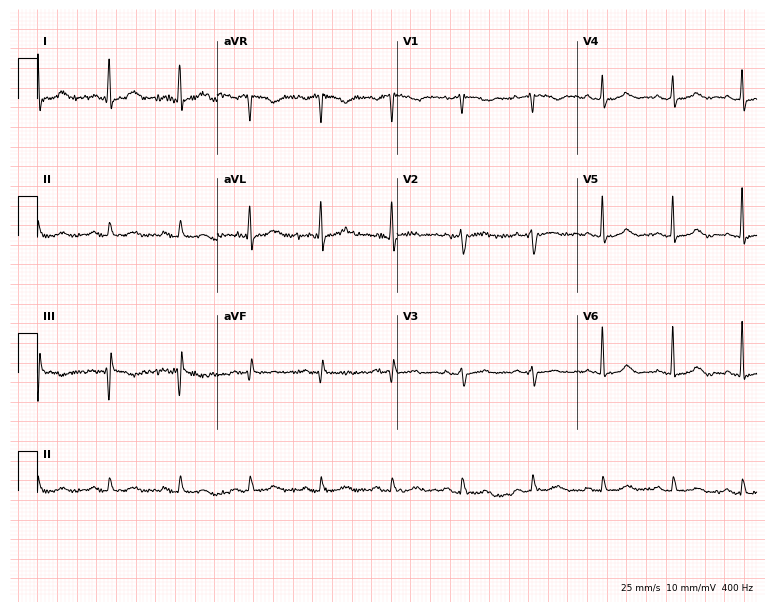
12-lead ECG from a 75-year-old female. Labelled as a normal ECG.